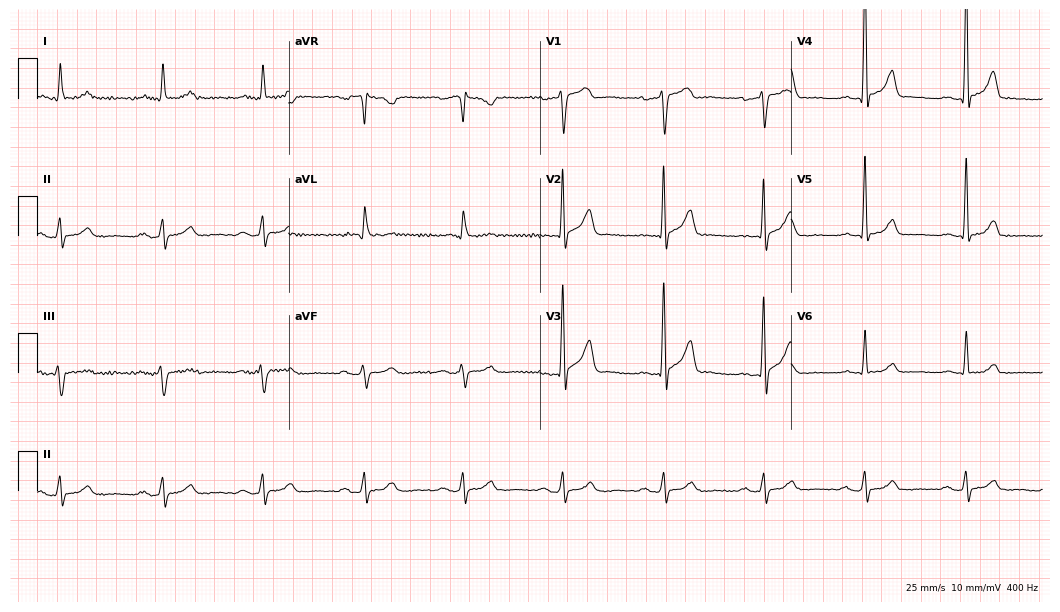
Standard 12-lead ECG recorded from a male, 70 years old. Read as a normal ECG.